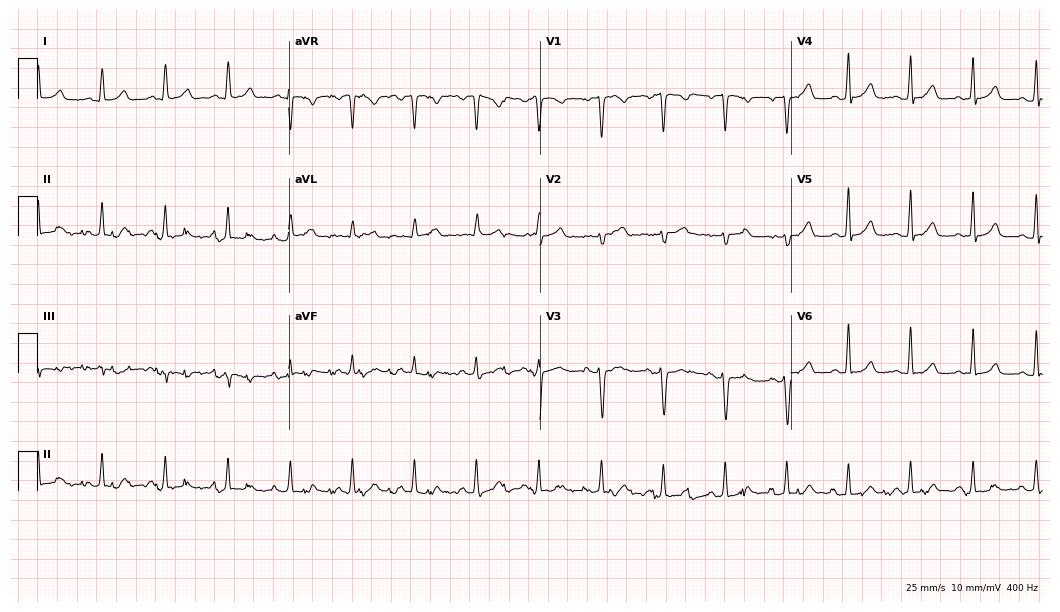
ECG (10.2-second recording at 400 Hz) — a 44-year-old female. Screened for six findings — first-degree AV block, right bundle branch block, left bundle branch block, sinus bradycardia, atrial fibrillation, sinus tachycardia — none is recorded.